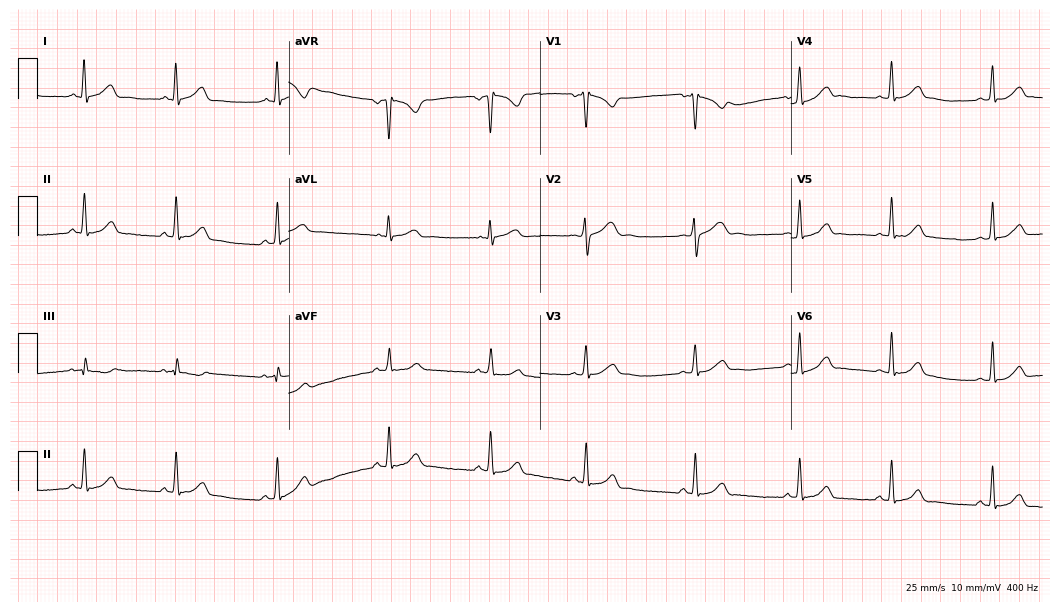
ECG (10.2-second recording at 400 Hz) — a 20-year-old female patient. Screened for six findings — first-degree AV block, right bundle branch block, left bundle branch block, sinus bradycardia, atrial fibrillation, sinus tachycardia — none is recorded. Other findings, if any, are not listed.